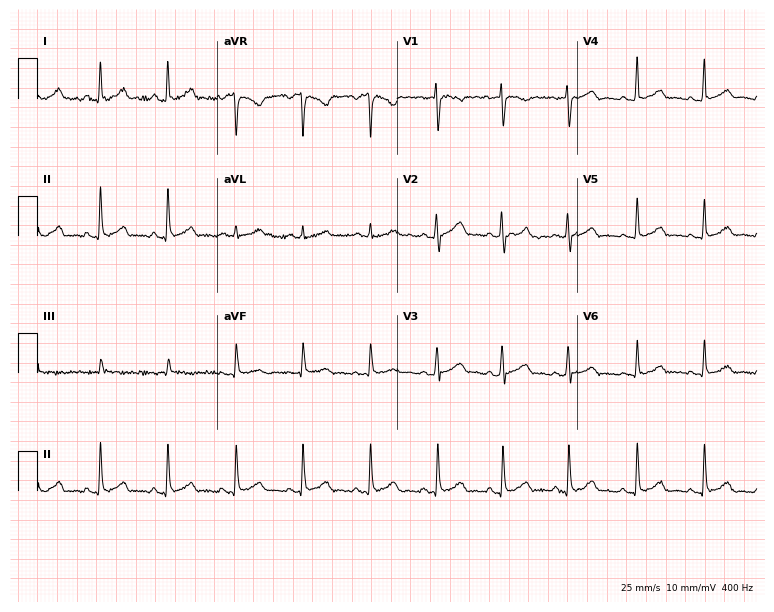
Resting 12-lead electrocardiogram (7.3-second recording at 400 Hz). Patient: a woman, 33 years old. Read as a normal ECG.